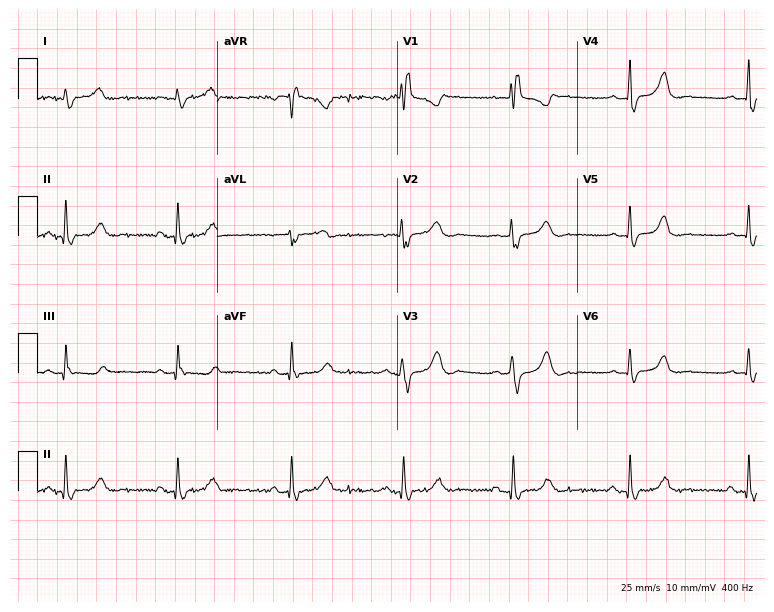
12-lead ECG from a female, 36 years old (7.3-second recording at 400 Hz). Shows right bundle branch block (RBBB).